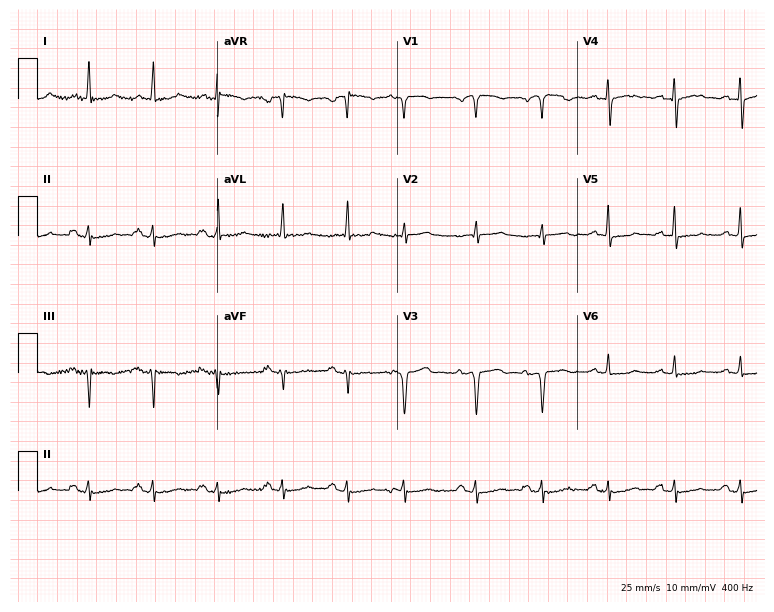
Electrocardiogram, a male patient, 77 years old. Of the six screened findings (first-degree AV block, right bundle branch block (RBBB), left bundle branch block (LBBB), sinus bradycardia, atrial fibrillation (AF), sinus tachycardia), none is recorded.